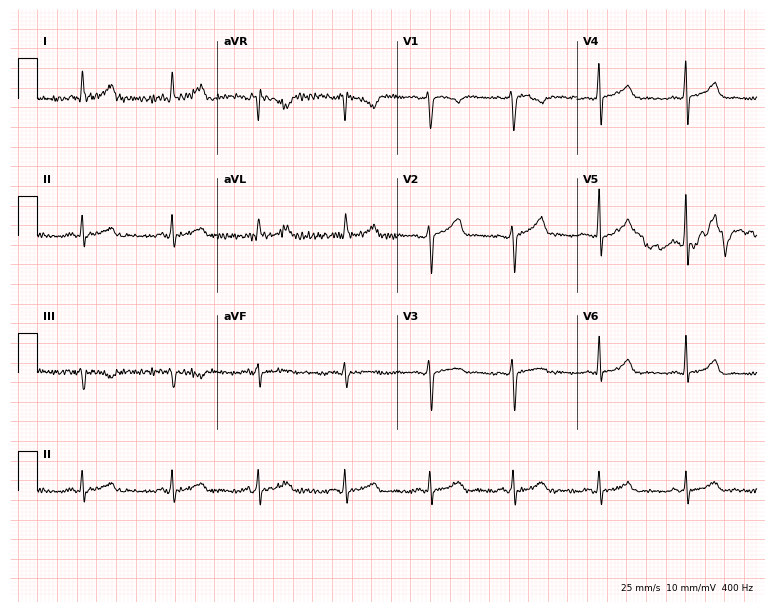
Electrocardiogram, a female patient, 43 years old. Overall reading on record: normal ECG.